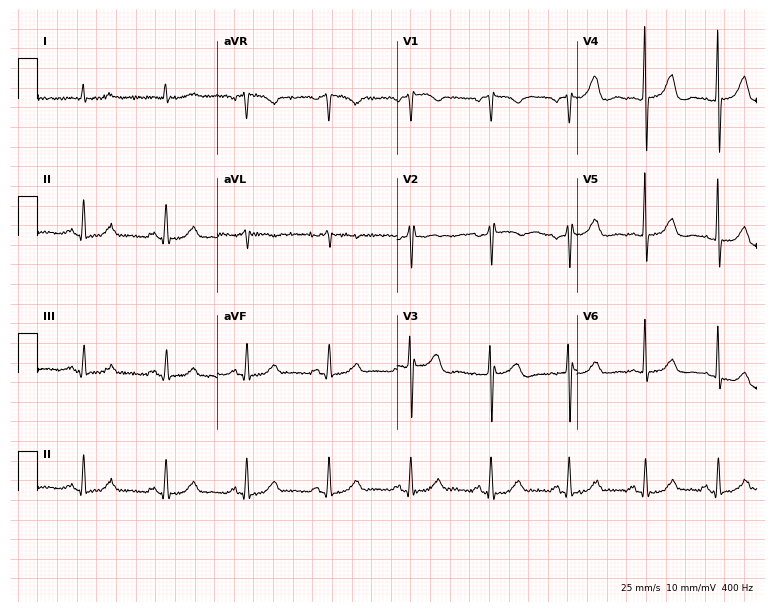
12-lead ECG (7.3-second recording at 400 Hz) from a woman, 68 years old. Labelled as a normal ECG.